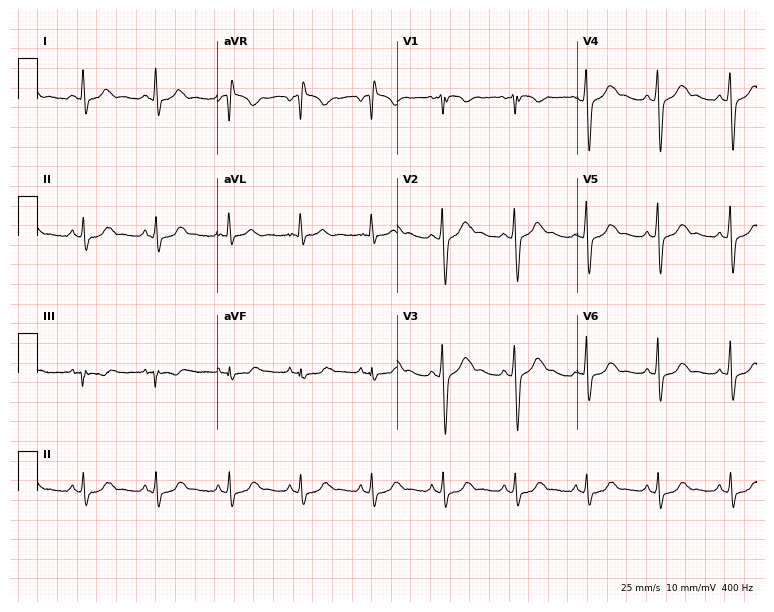
Electrocardiogram, a 43-year-old female patient. Of the six screened findings (first-degree AV block, right bundle branch block, left bundle branch block, sinus bradycardia, atrial fibrillation, sinus tachycardia), none is recorded.